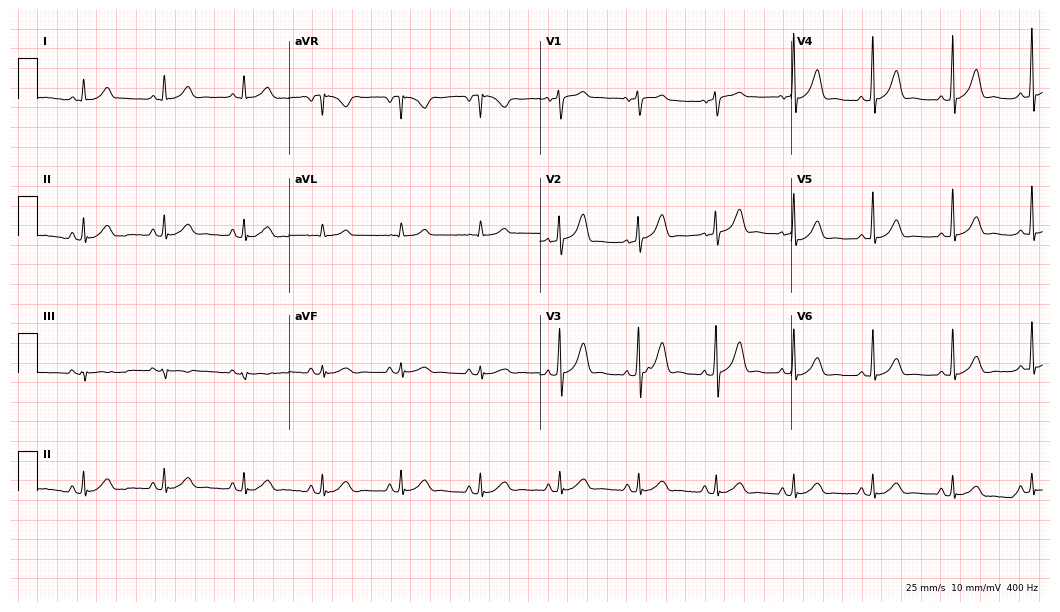
12-lead ECG from a male, 56 years old. Recorded interpretation: within normal limits.